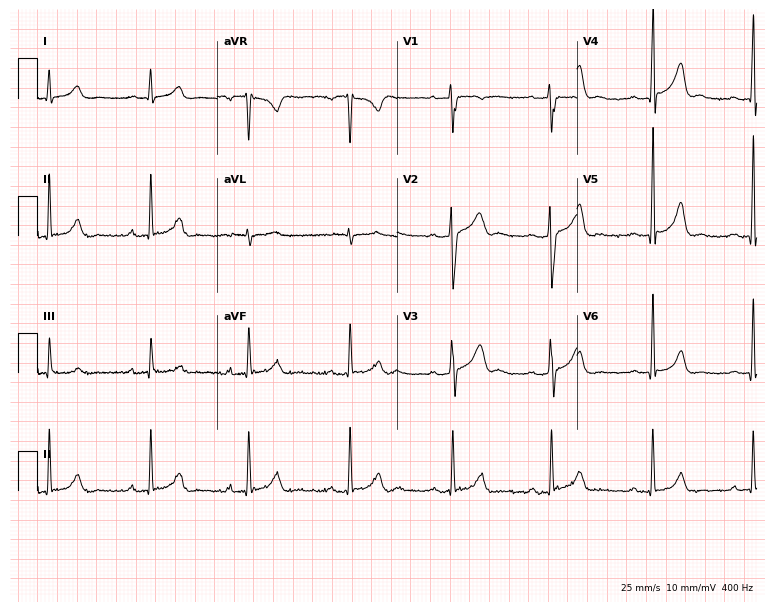
Standard 12-lead ECG recorded from a male, 23 years old (7.3-second recording at 400 Hz). None of these six findings is recorded: first-degree AV block, right bundle branch block (RBBB), left bundle branch block (LBBB), sinus bradycardia, atrial fibrillation (AF), sinus tachycardia. Only these six findings were labelled.